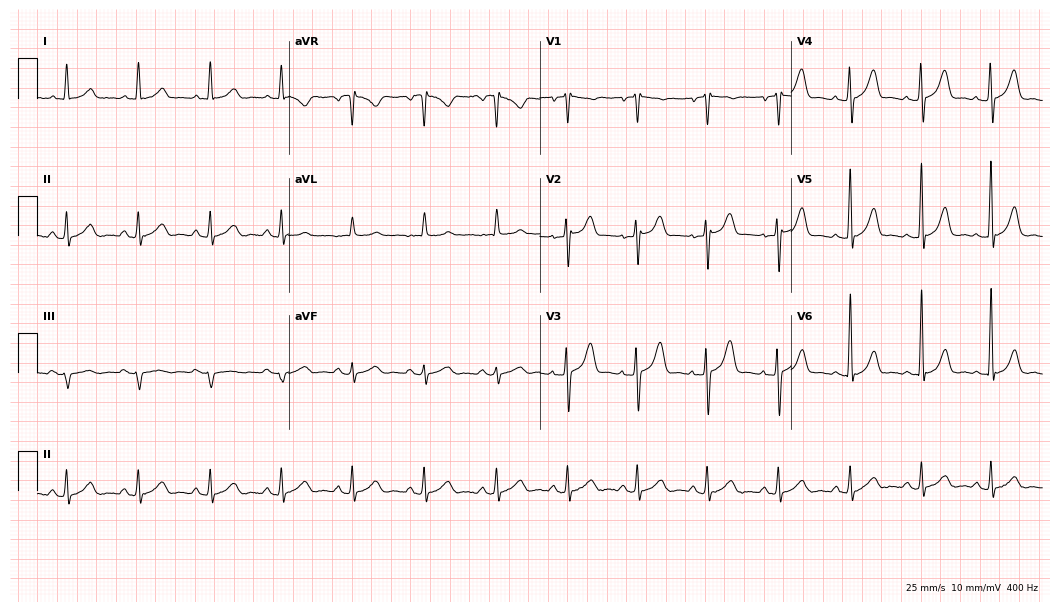
12-lead ECG from a man, 65 years old (10.2-second recording at 400 Hz). No first-degree AV block, right bundle branch block (RBBB), left bundle branch block (LBBB), sinus bradycardia, atrial fibrillation (AF) or sinus tachycardia recorded for this tracing. Only these six findings were labelled.